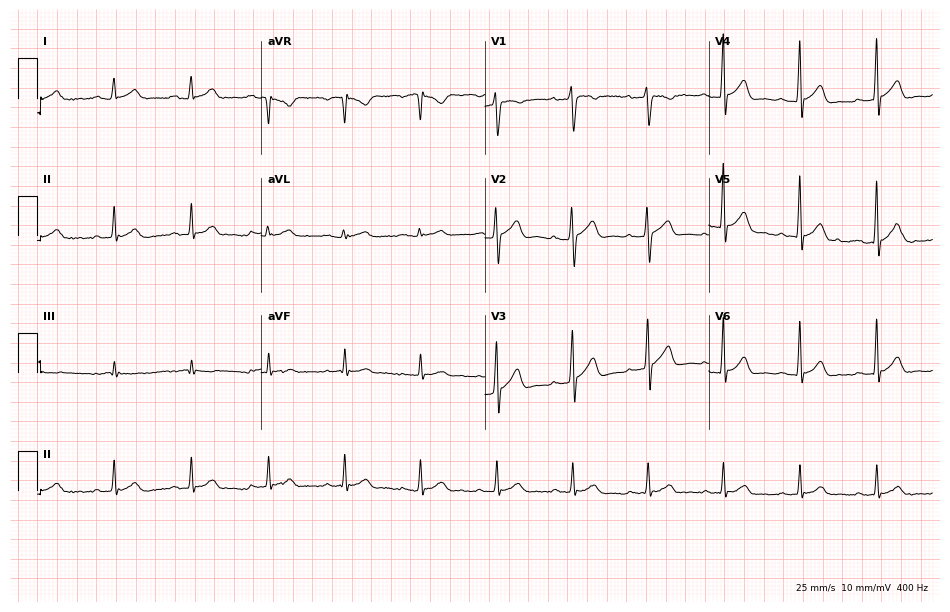
ECG (9.1-second recording at 400 Hz) — a male patient, 47 years old. Labelled as a normal ECG.